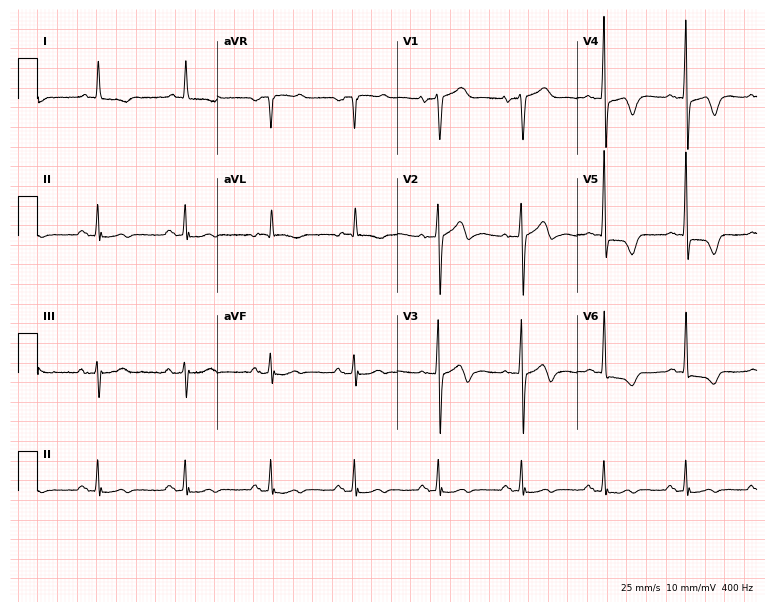
Resting 12-lead electrocardiogram (7.3-second recording at 400 Hz). Patient: a woman, 82 years old. None of these six findings is recorded: first-degree AV block, right bundle branch block (RBBB), left bundle branch block (LBBB), sinus bradycardia, atrial fibrillation (AF), sinus tachycardia. Only these six findings were labelled.